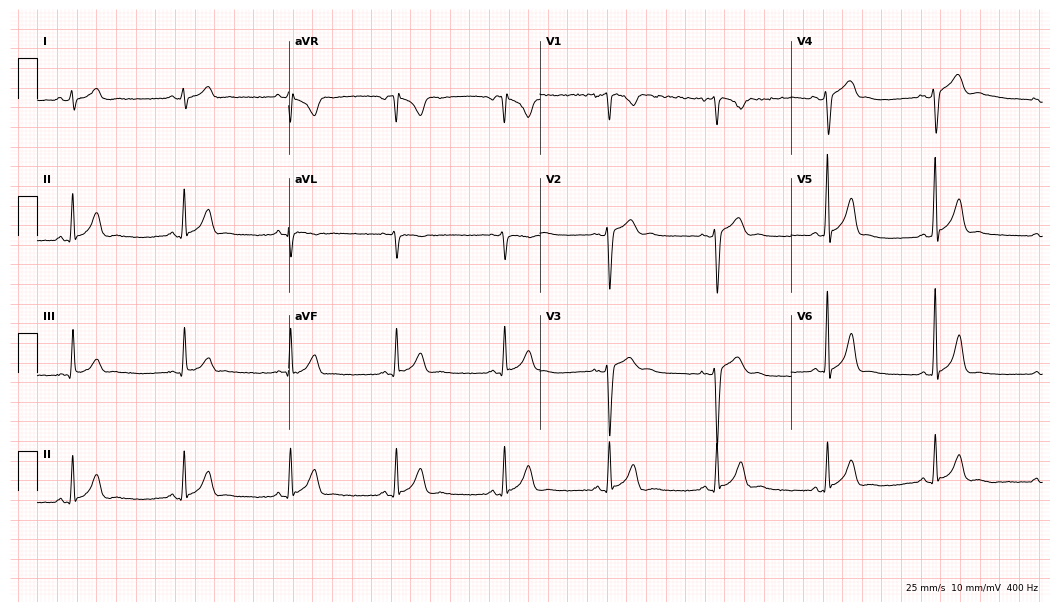
Resting 12-lead electrocardiogram (10.2-second recording at 400 Hz). Patient: a 26-year-old male. Read as a normal ECG.